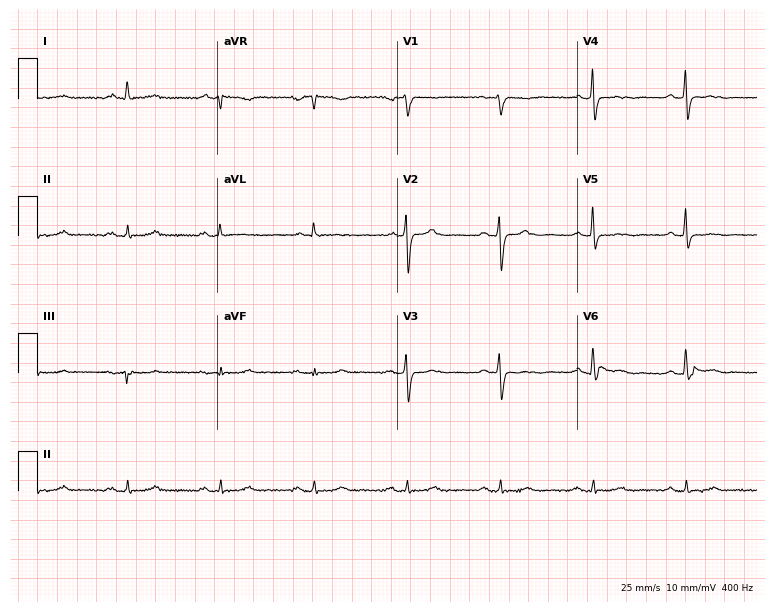
12-lead ECG from a 69-year-old male. Screened for six findings — first-degree AV block, right bundle branch block, left bundle branch block, sinus bradycardia, atrial fibrillation, sinus tachycardia — none is recorded. Findings outside these six are not listed.